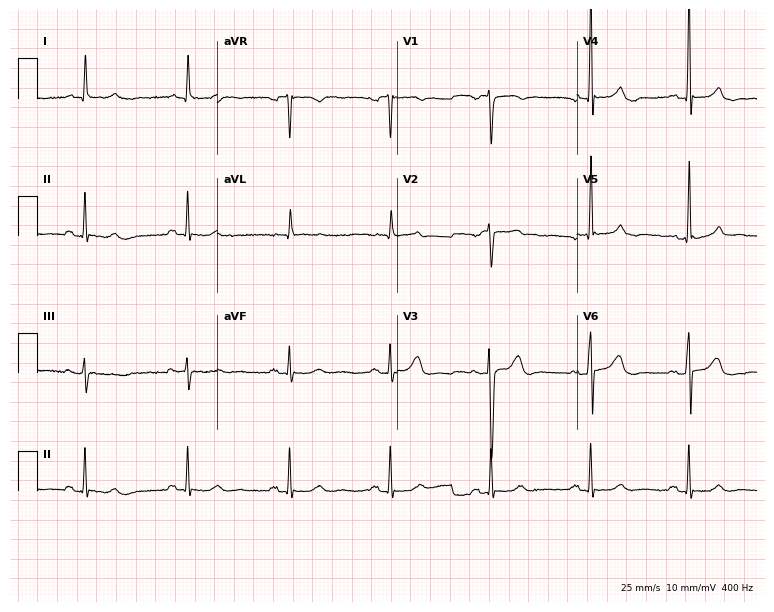
Standard 12-lead ECG recorded from a male patient, 80 years old. None of these six findings is recorded: first-degree AV block, right bundle branch block, left bundle branch block, sinus bradycardia, atrial fibrillation, sinus tachycardia. Findings outside these six are not listed.